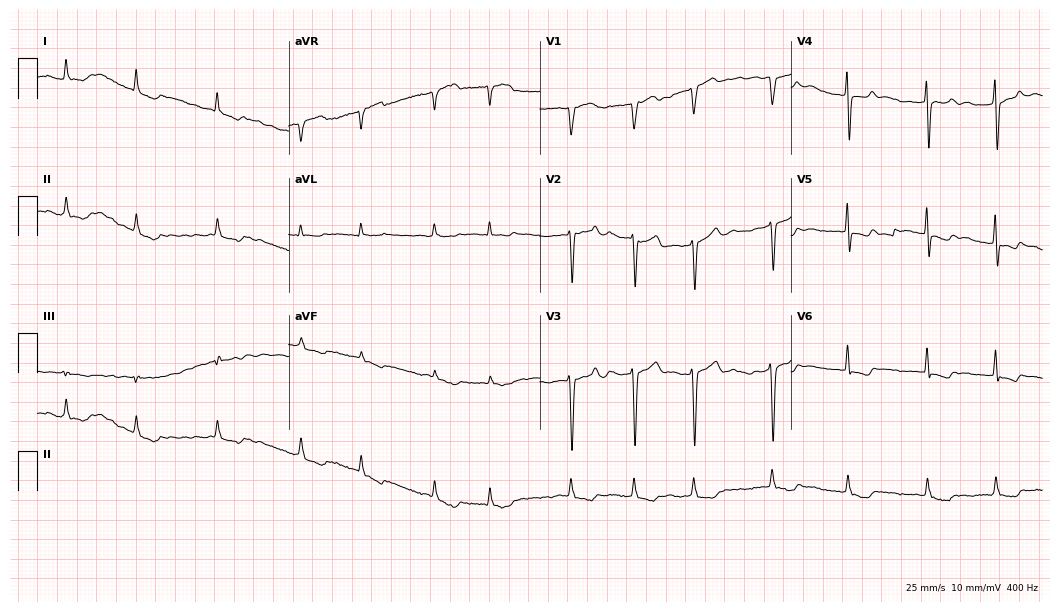
Standard 12-lead ECG recorded from a male, 70 years old. None of these six findings is recorded: first-degree AV block, right bundle branch block, left bundle branch block, sinus bradycardia, atrial fibrillation, sinus tachycardia. Findings outside these six are not listed.